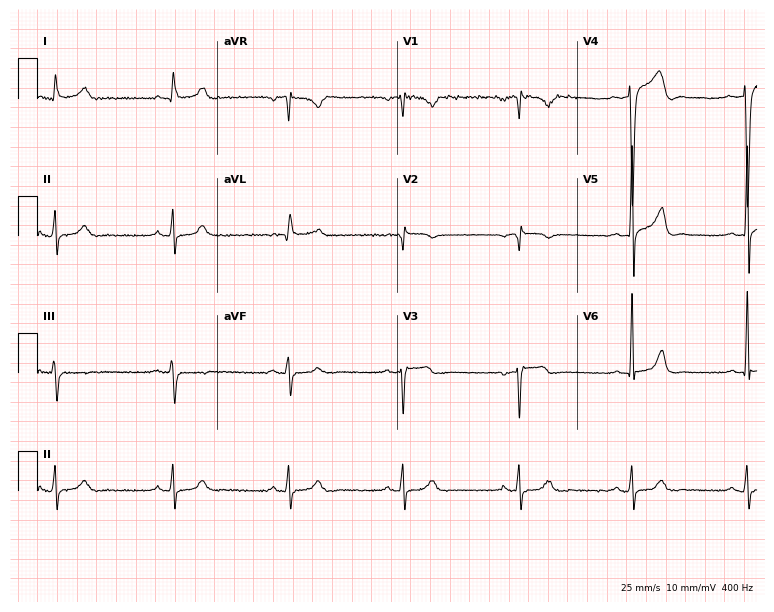
Resting 12-lead electrocardiogram. Patient: a 49-year-old male. None of these six findings is recorded: first-degree AV block, right bundle branch block, left bundle branch block, sinus bradycardia, atrial fibrillation, sinus tachycardia. Findings outside these six are not listed.